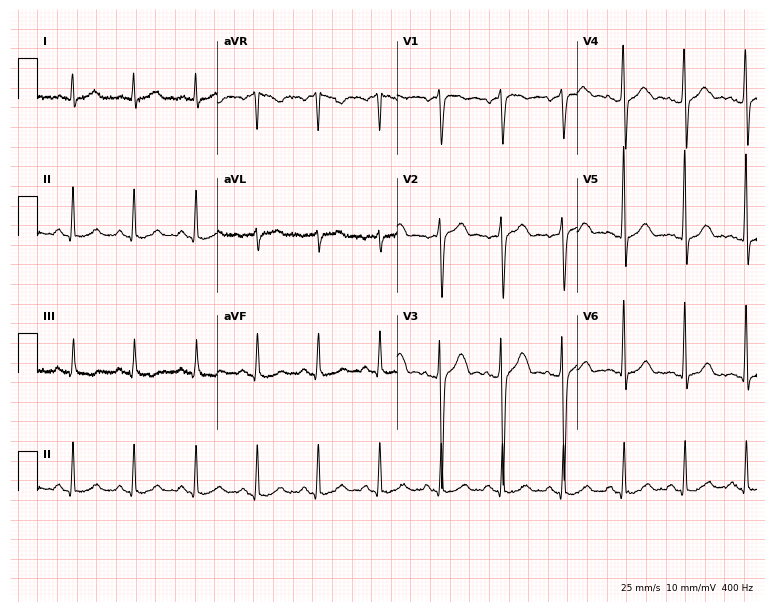
Electrocardiogram (7.3-second recording at 400 Hz), a man, 71 years old. Of the six screened findings (first-degree AV block, right bundle branch block, left bundle branch block, sinus bradycardia, atrial fibrillation, sinus tachycardia), none is recorded. Findings outside these six are not listed.